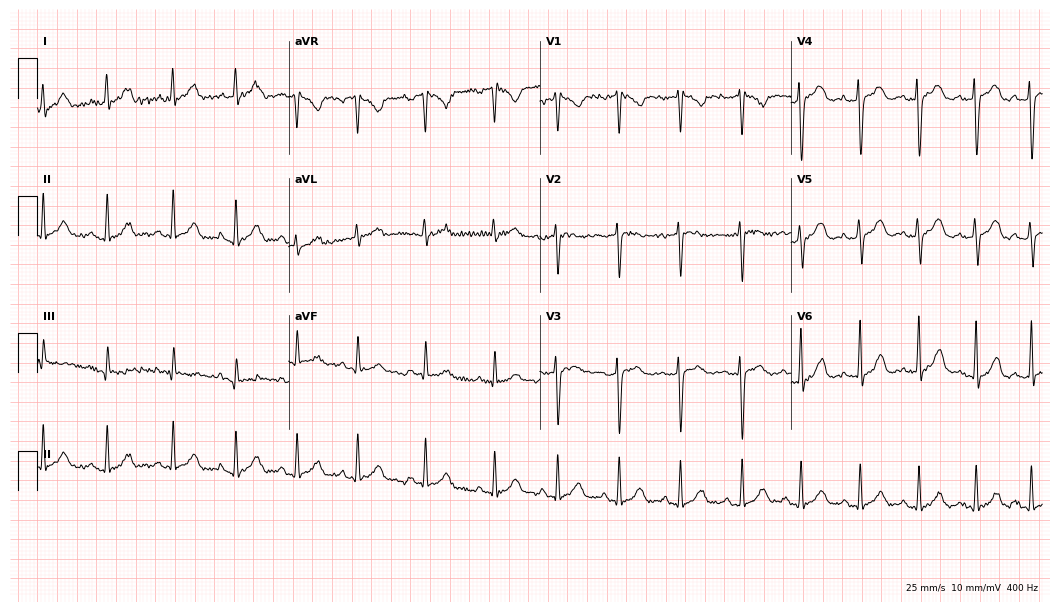
12-lead ECG (10.2-second recording at 400 Hz) from a female patient, 18 years old. Labelled as a normal ECG.